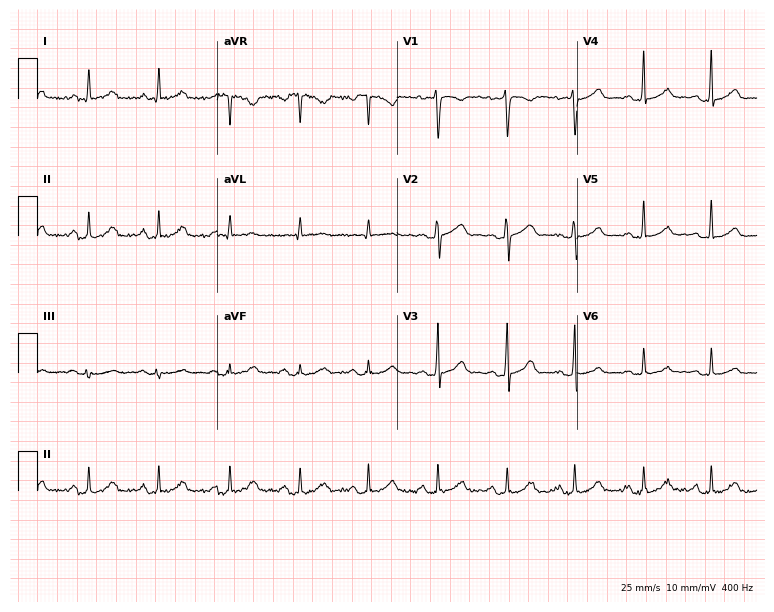
12-lead ECG (7.3-second recording at 400 Hz) from a female, 39 years old. Labelled as a normal ECG.